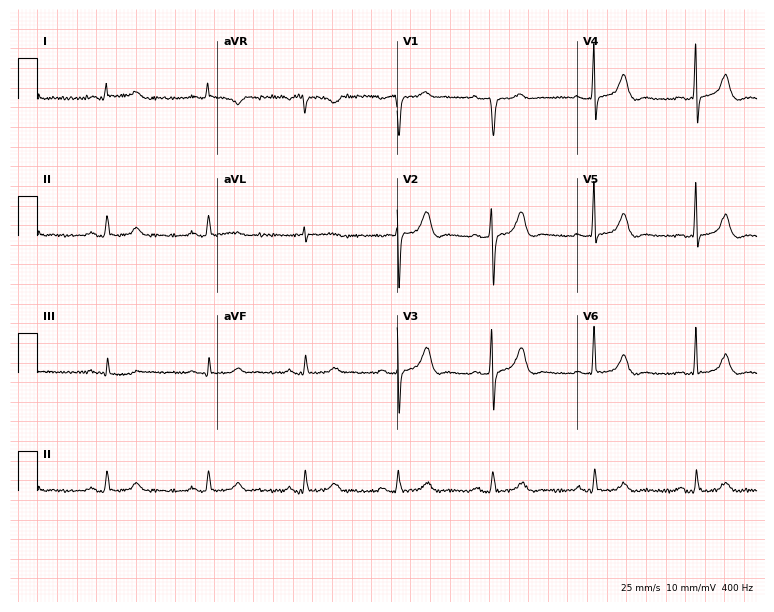
12-lead ECG from a male, 51 years old (7.3-second recording at 400 Hz). Recorded interpretation: within normal limits.